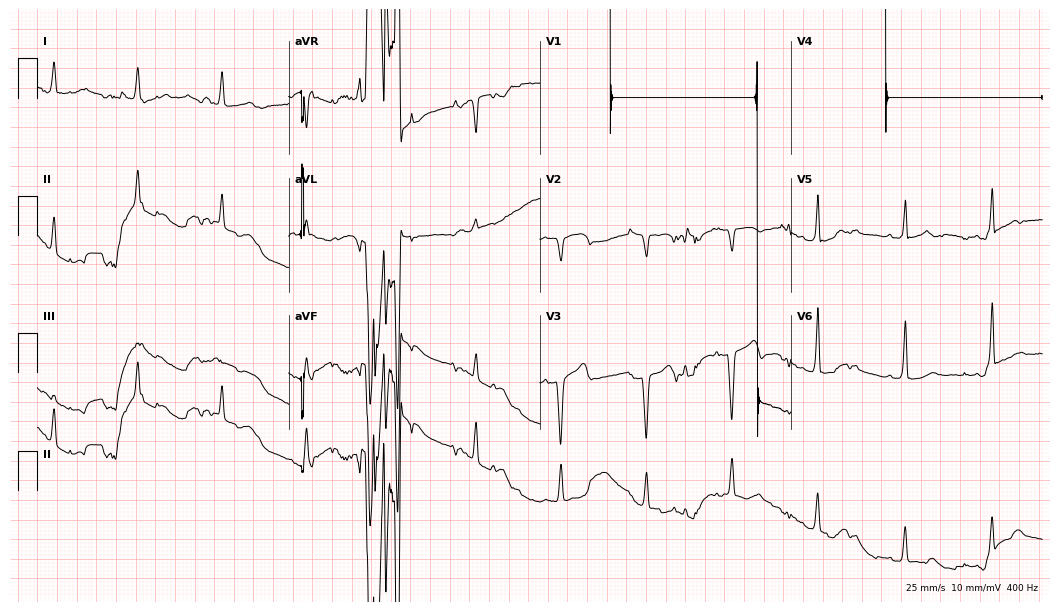
Resting 12-lead electrocardiogram. Patient: a female, 63 years old. None of these six findings is recorded: first-degree AV block, right bundle branch block (RBBB), left bundle branch block (LBBB), sinus bradycardia, atrial fibrillation (AF), sinus tachycardia. Other findings, if any, are not listed.